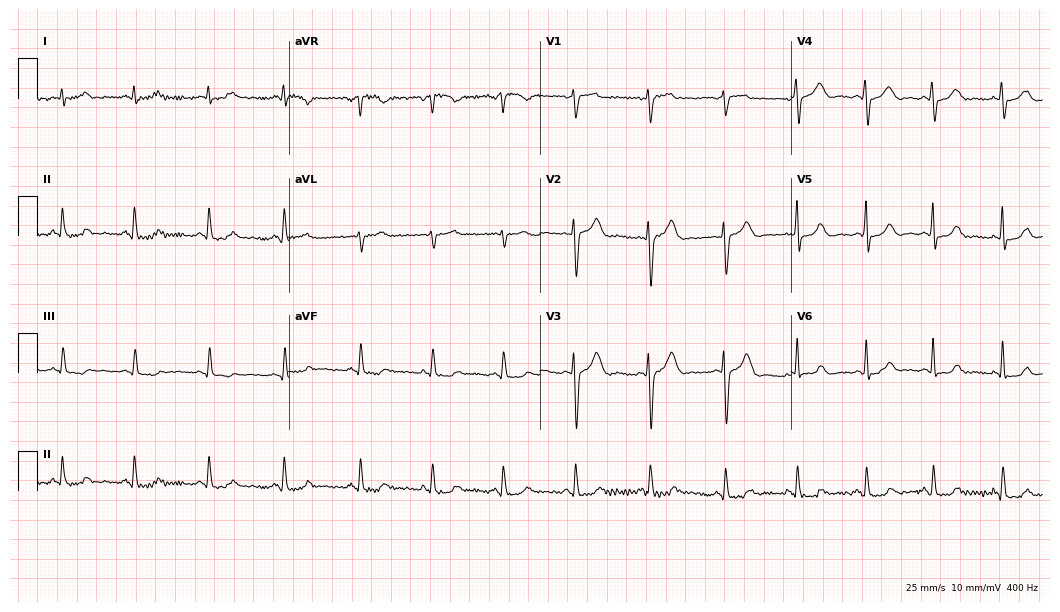
12-lead ECG from a woman, 42 years old. Labelled as a normal ECG.